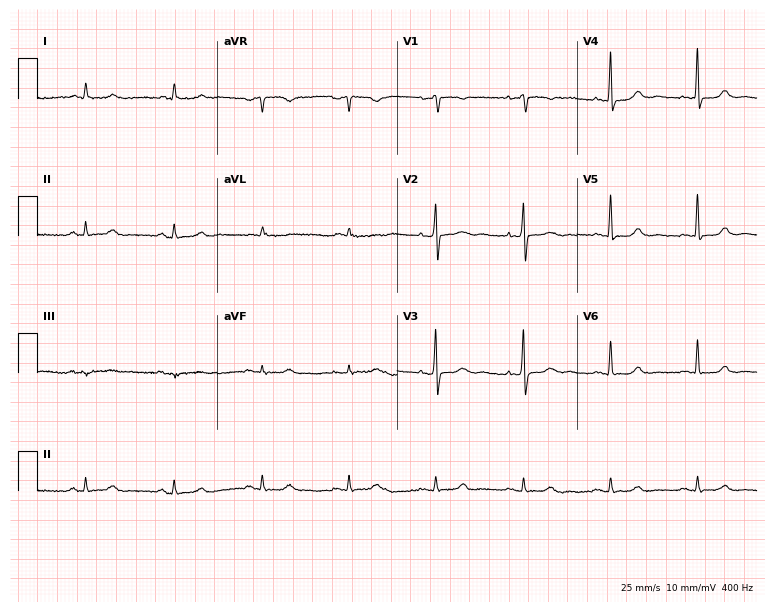
12-lead ECG (7.3-second recording at 400 Hz) from a 76-year-old female. Labelled as a normal ECG.